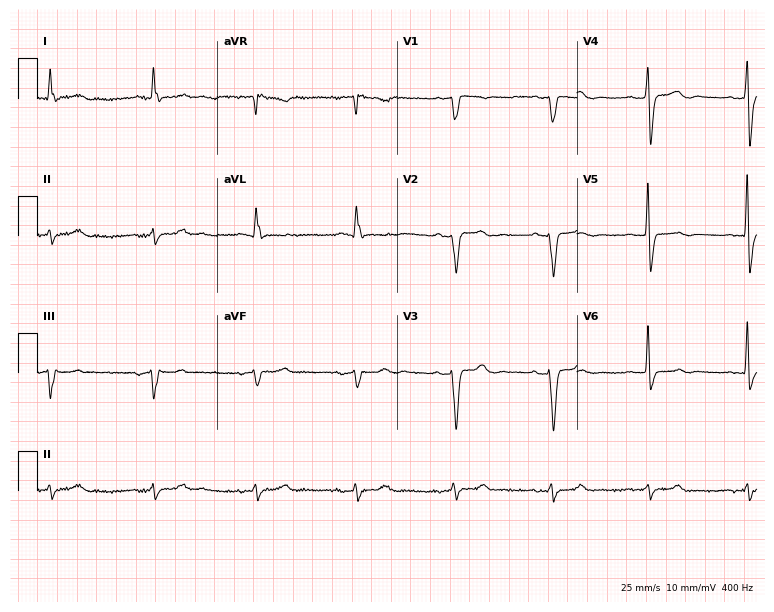
ECG — a female patient, 72 years old. Screened for six findings — first-degree AV block, right bundle branch block, left bundle branch block, sinus bradycardia, atrial fibrillation, sinus tachycardia — none is recorded. Only these six findings were labelled.